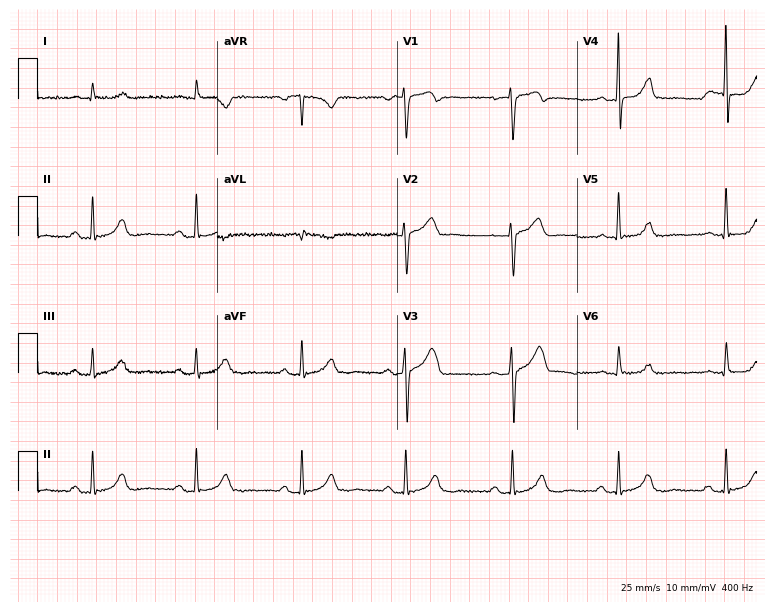
Electrocardiogram (7.3-second recording at 400 Hz), a 64-year-old male patient. Overall reading on record: normal ECG.